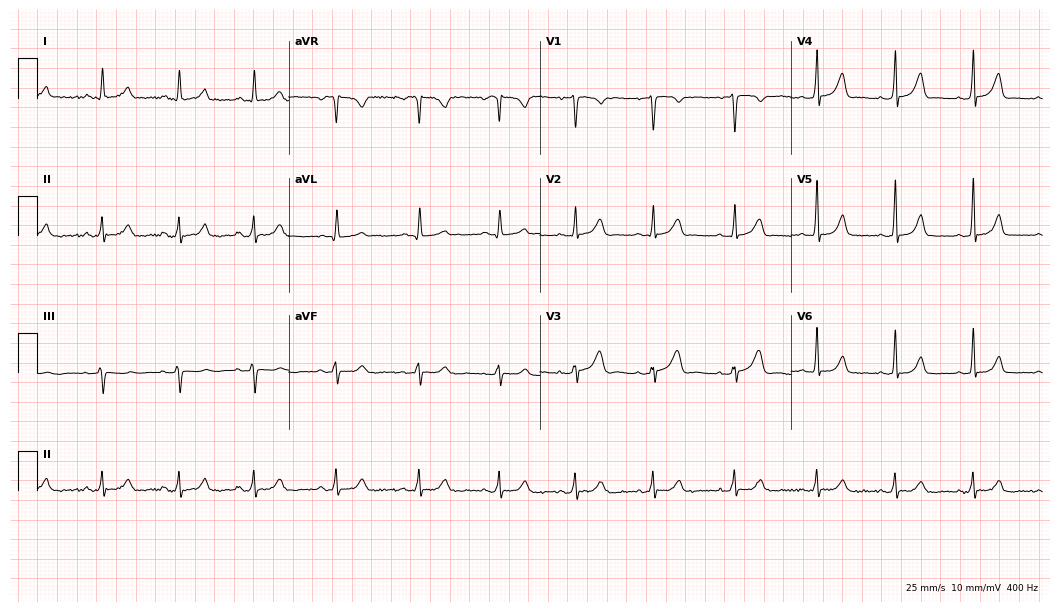
12-lead ECG from a 28-year-old woman. Recorded interpretation: within normal limits.